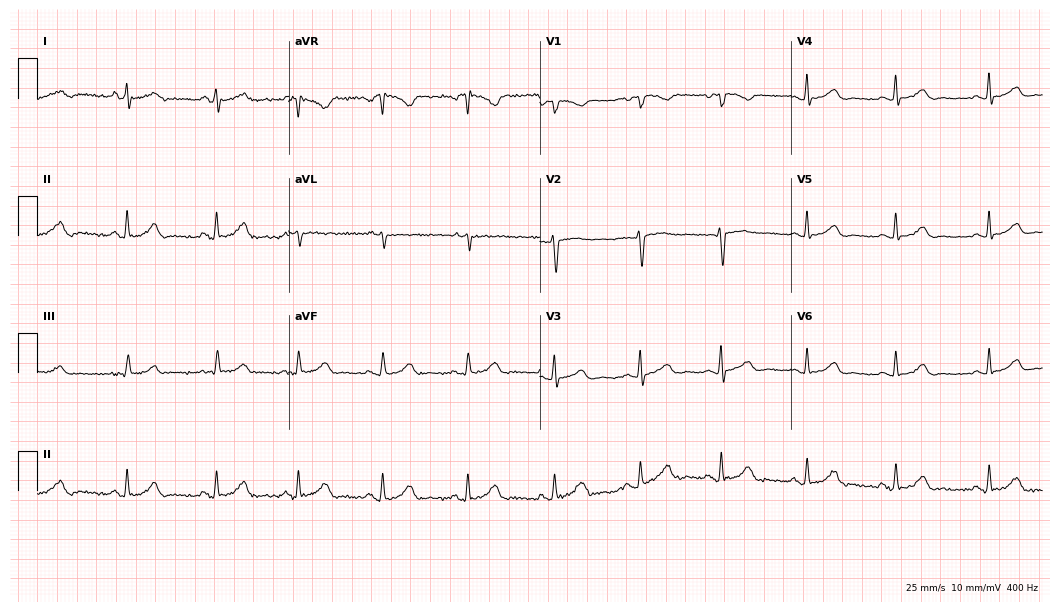
12-lead ECG (10.2-second recording at 400 Hz) from a female patient, 34 years old. Labelled as a normal ECG.